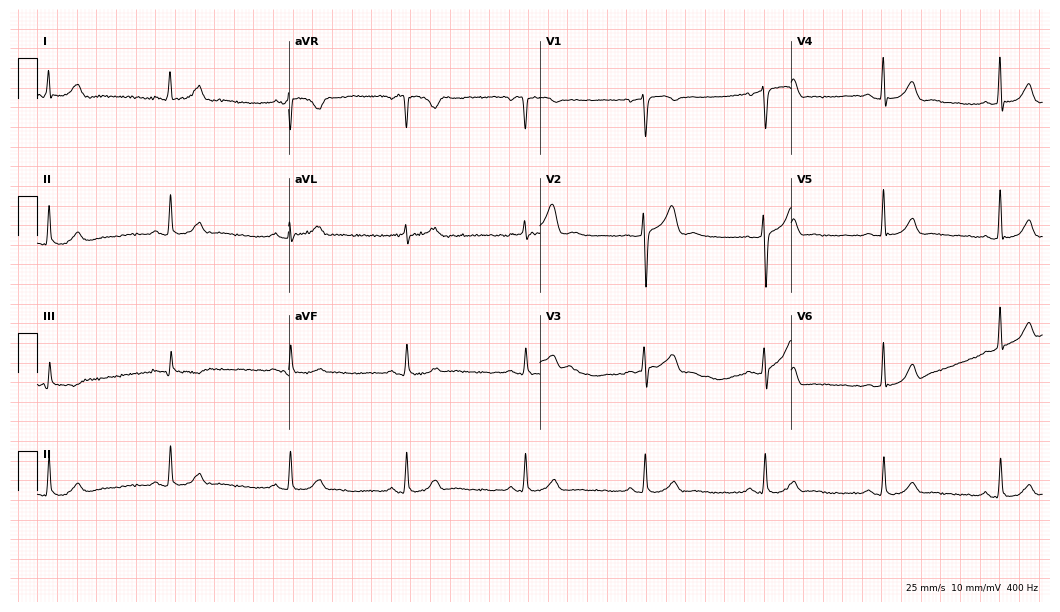
Electrocardiogram, a male patient, 43 years old. Interpretation includes sinus bradycardia (a sinus rate of 50 beats per minute or less).